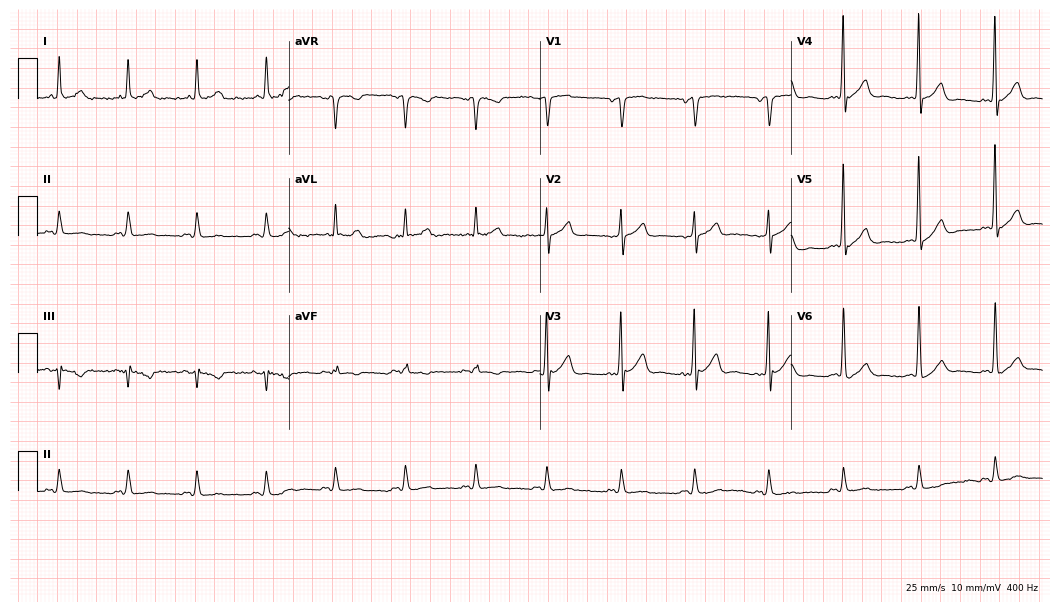
12-lead ECG from a woman, 65 years old (10.2-second recording at 400 Hz). No first-degree AV block, right bundle branch block, left bundle branch block, sinus bradycardia, atrial fibrillation or sinus tachycardia recorded for this tracing. Findings outside these six are not listed.